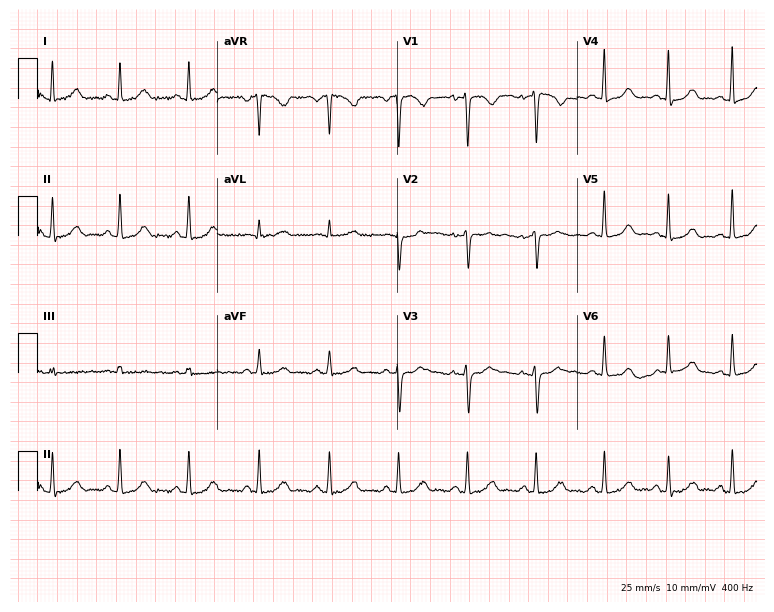
12-lead ECG (7.3-second recording at 400 Hz) from a woman, 39 years old. Labelled as a normal ECG.